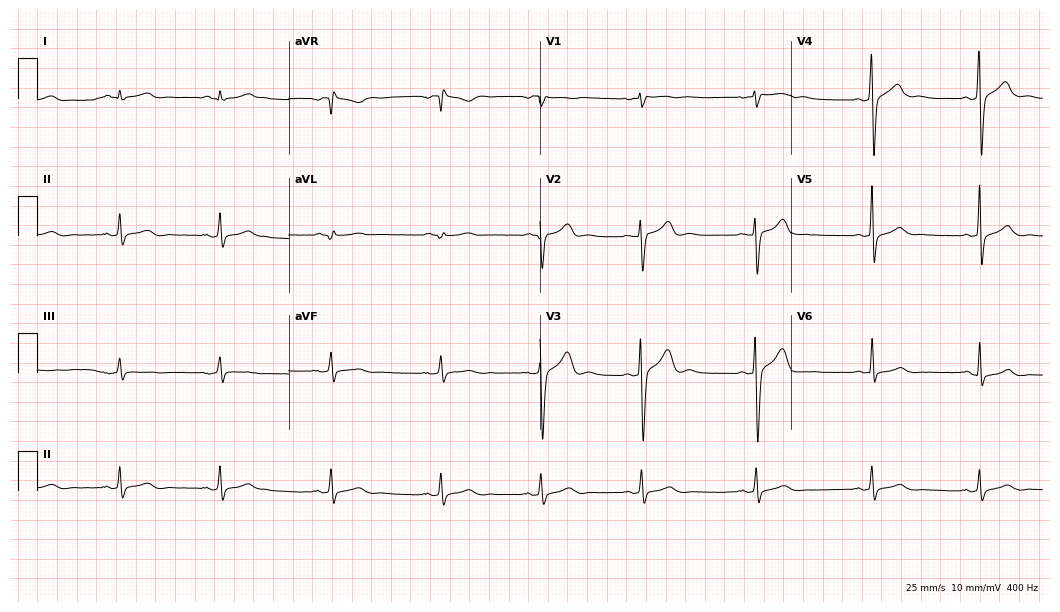
Electrocardiogram (10.2-second recording at 400 Hz), a male, 23 years old. Of the six screened findings (first-degree AV block, right bundle branch block, left bundle branch block, sinus bradycardia, atrial fibrillation, sinus tachycardia), none is recorded.